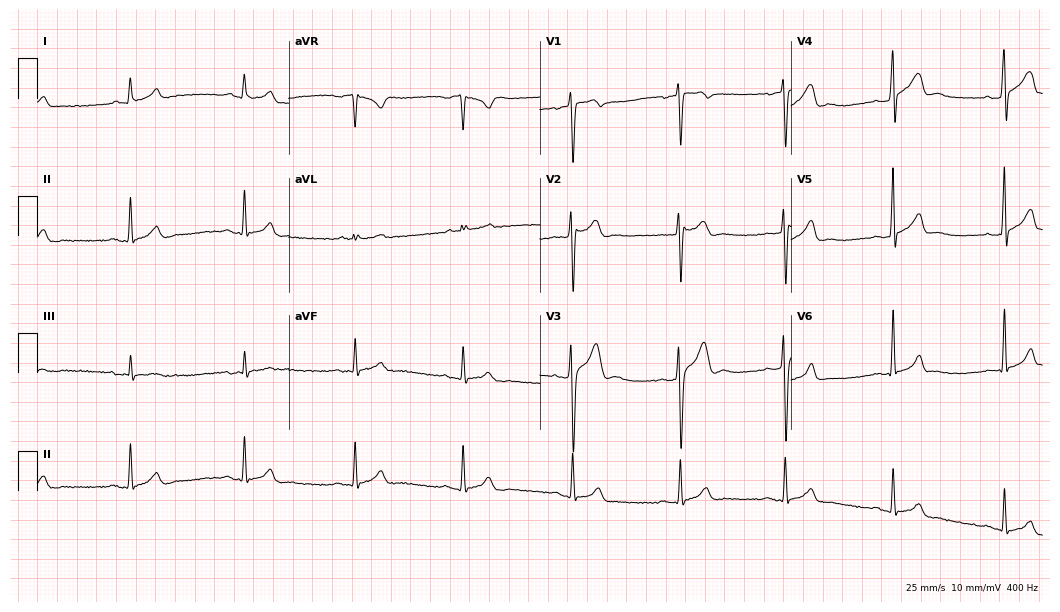
Electrocardiogram (10.2-second recording at 400 Hz), a 28-year-old male. Overall reading on record: normal ECG.